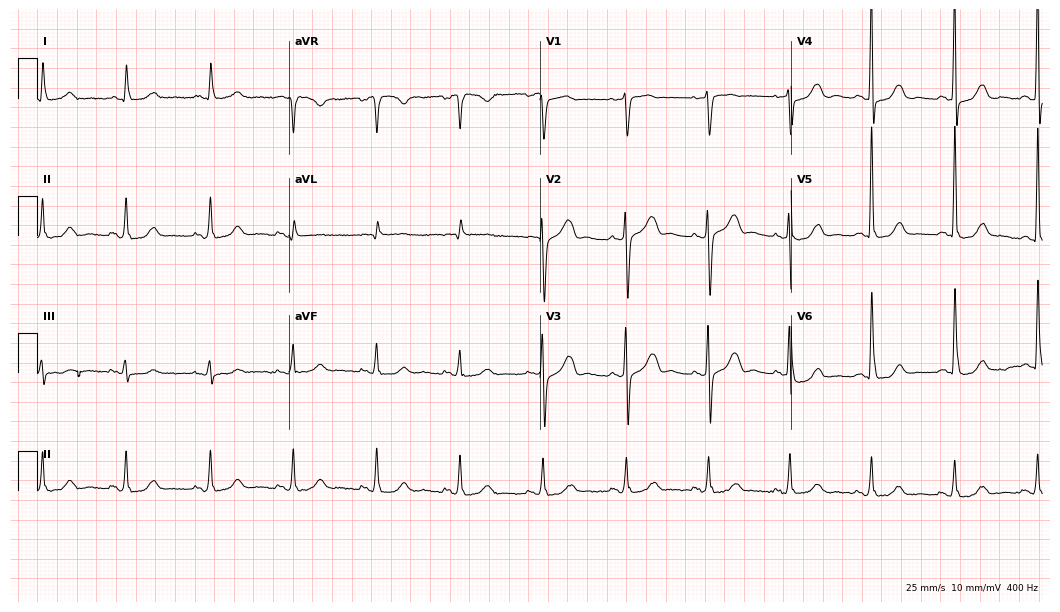
ECG (10.2-second recording at 400 Hz) — a woman, 71 years old. Labelled as a normal ECG.